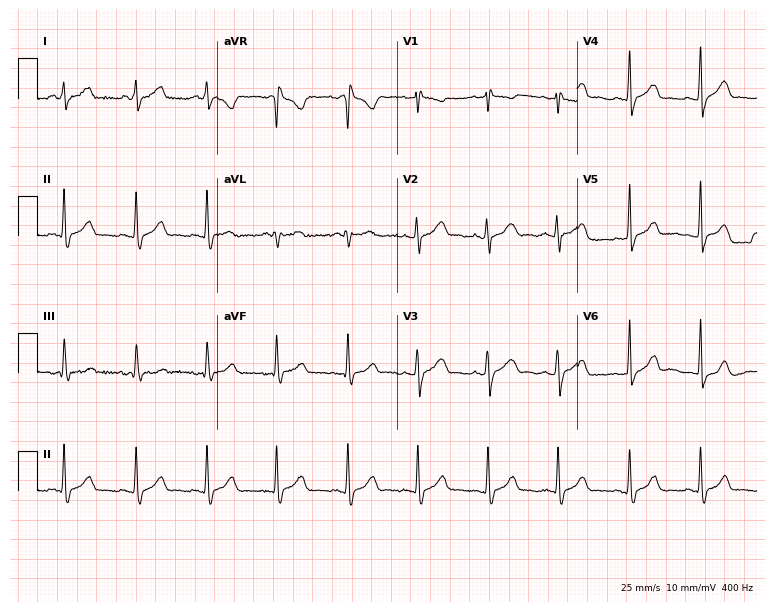
Resting 12-lead electrocardiogram (7.3-second recording at 400 Hz). Patient: a 39-year-old female. None of these six findings is recorded: first-degree AV block, right bundle branch block (RBBB), left bundle branch block (LBBB), sinus bradycardia, atrial fibrillation (AF), sinus tachycardia. Other findings, if any, are not listed.